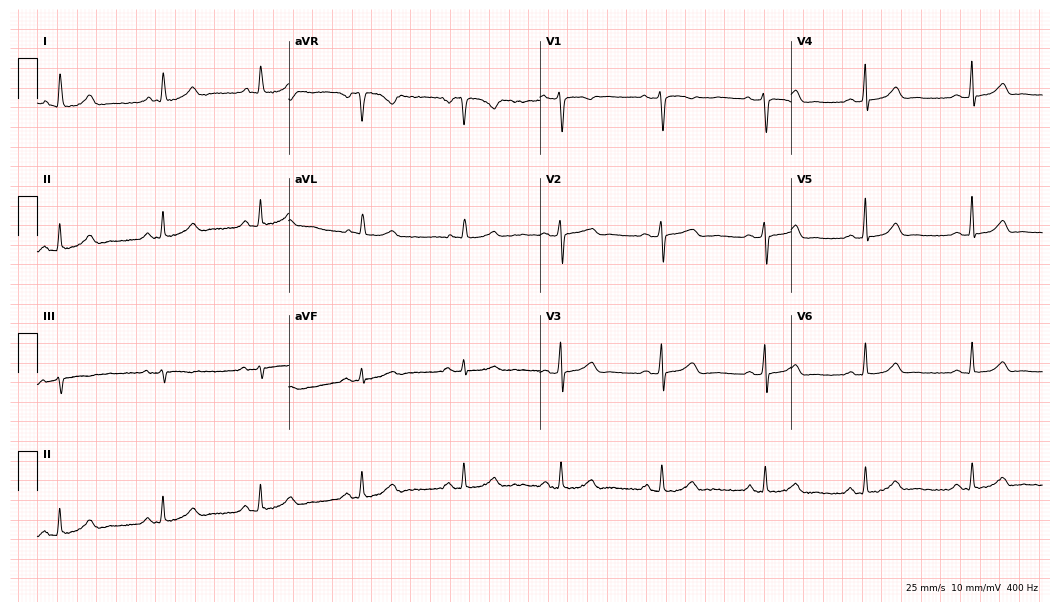
12-lead ECG (10.2-second recording at 400 Hz) from a female, 44 years old. Labelled as a normal ECG.